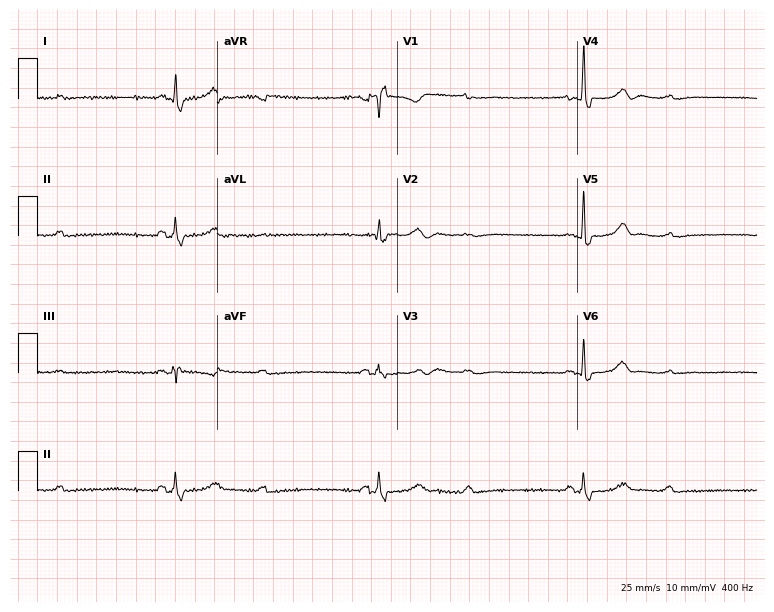
12-lead ECG from a 66-year-old female. No first-degree AV block, right bundle branch block, left bundle branch block, sinus bradycardia, atrial fibrillation or sinus tachycardia recorded for this tracing.